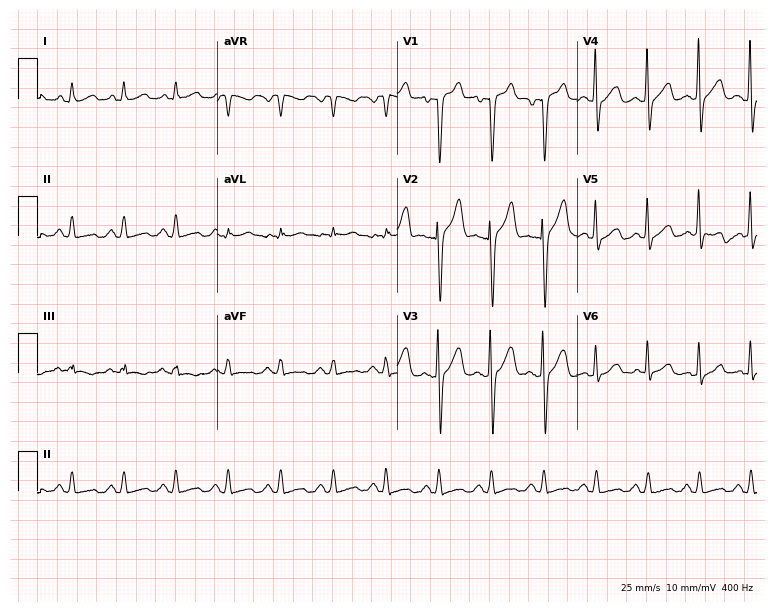
12-lead ECG (7.3-second recording at 400 Hz) from a male patient, 58 years old. Findings include sinus tachycardia (a sinus rate of 100 beats per minute or more).